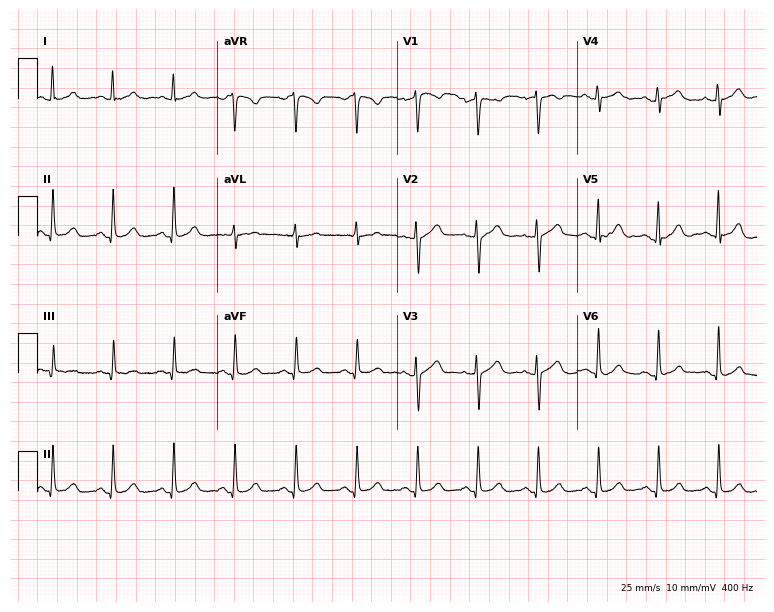
Electrocardiogram, a 58-year-old woman. Of the six screened findings (first-degree AV block, right bundle branch block (RBBB), left bundle branch block (LBBB), sinus bradycardia, atrial fibrillation (AF), sinus tachycardia), none is recorded. Other findings, if any, are not listed.